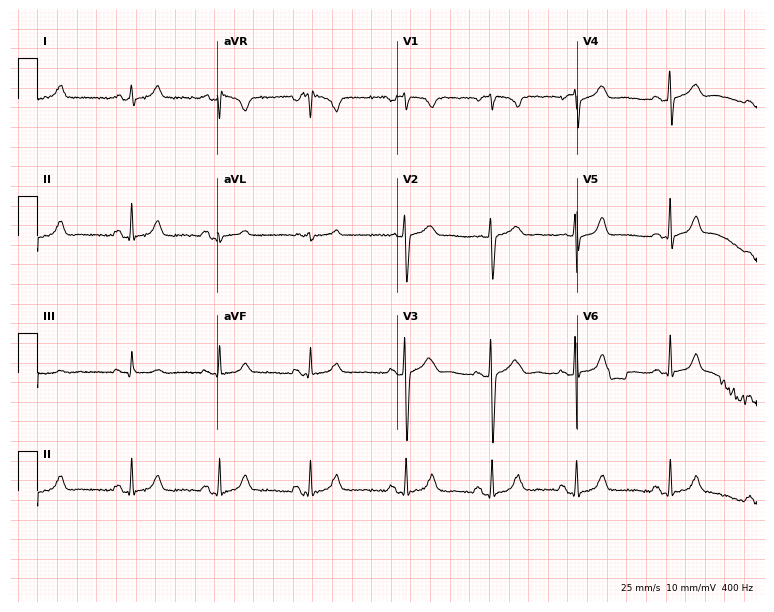
12-lead ECG from a woman, 35 years old. Recorded interpretation: within normal limits.